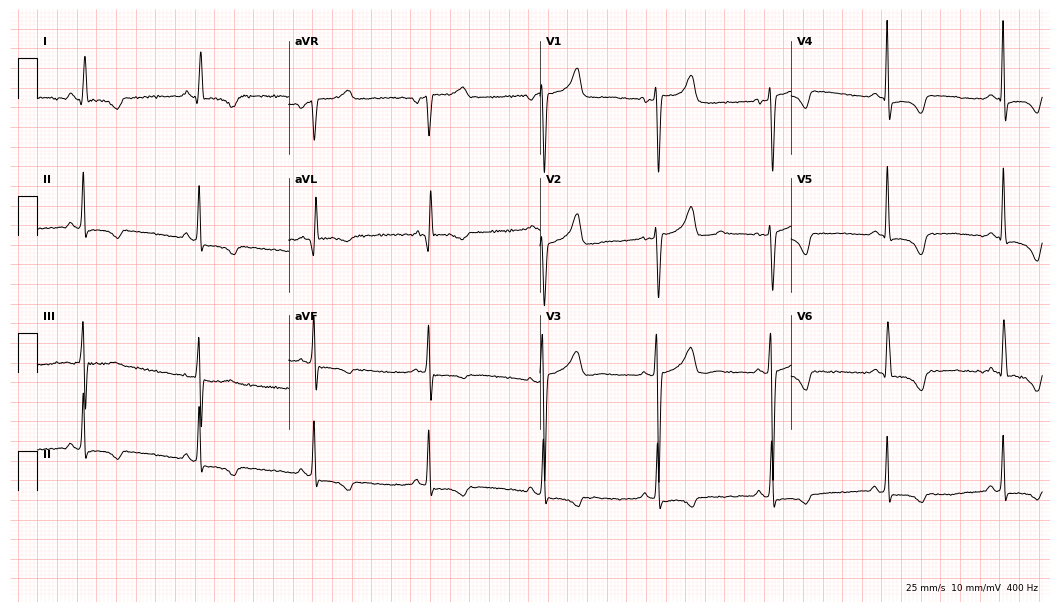
12-lead ECG from a 57-year-old female. Screened for six findings — first-degree AV block, right bundle branch block, left bundle branch block, sinus bradycardia, atrial fibrillation, sinus tachycardia — none is recorded. Findings outside these six are not listed.